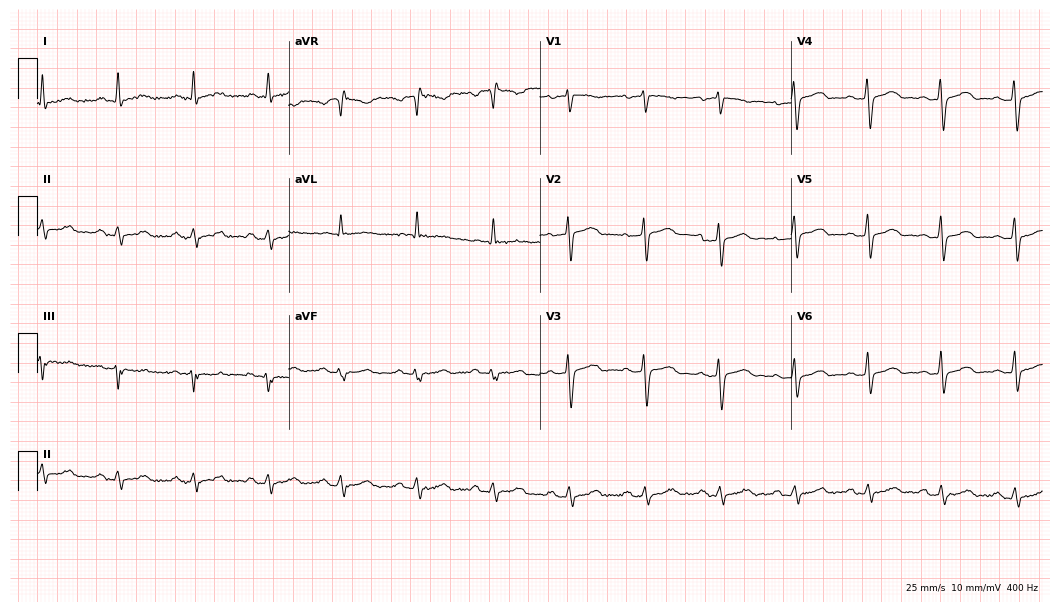
Resting 12-lead electrocardiogram (10.2-second recording at 400 Hz). Patient: a female, 70 years old. Read as a normal ECG.